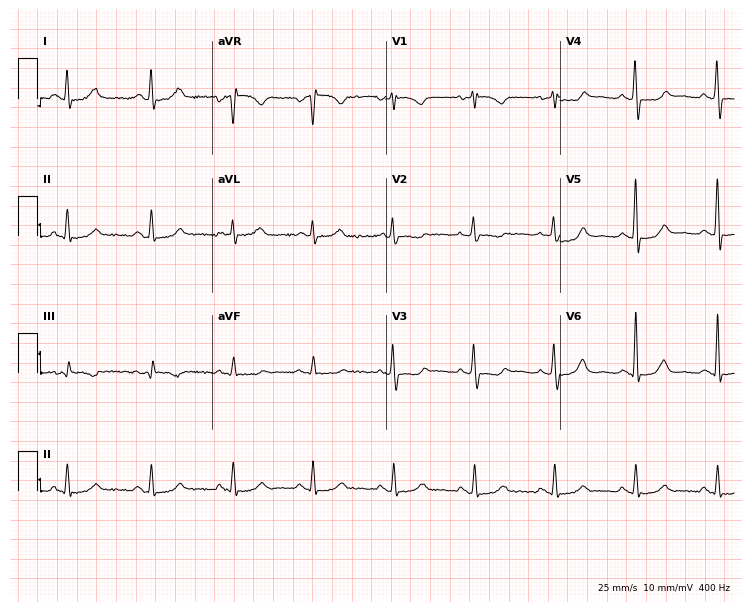
Standard 12-lead ECG recorded from a female patient, 47 years old. Read as a normal ECG.